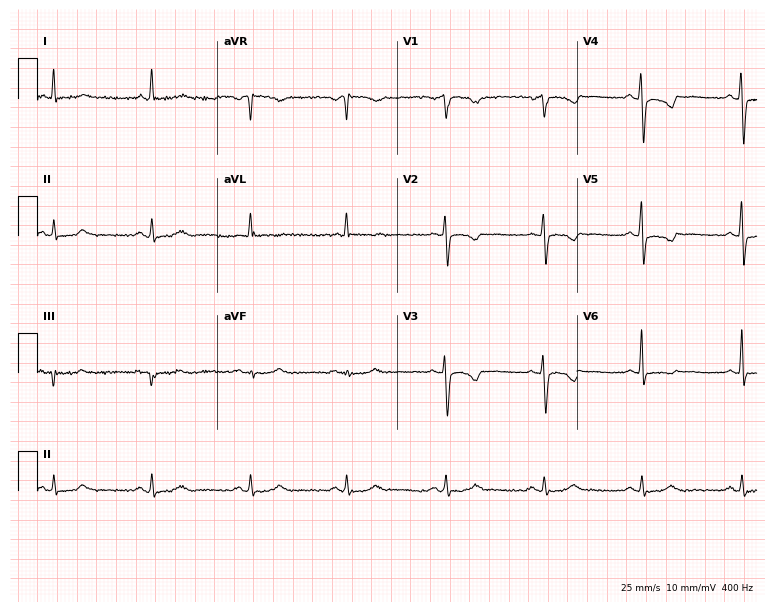
ECG (7.3-second recording at 400 Hz) — a man, 73 years old. Labelled as a normal ECG.